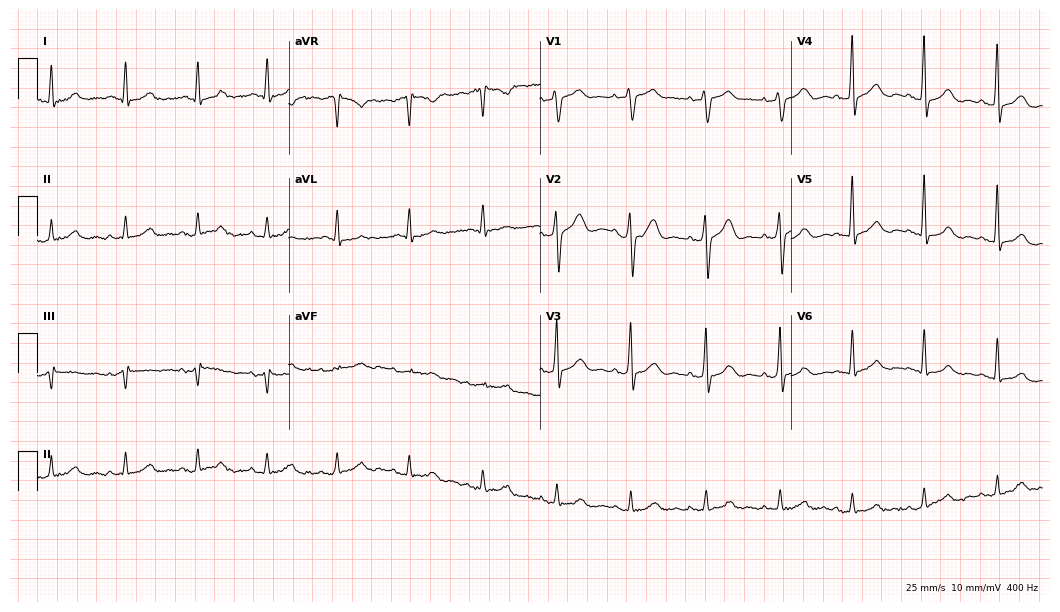
Electrocardiogram (10.2-second recording at 400 Hz), a male, 49 years old. Overall reading on record: normal ECG.